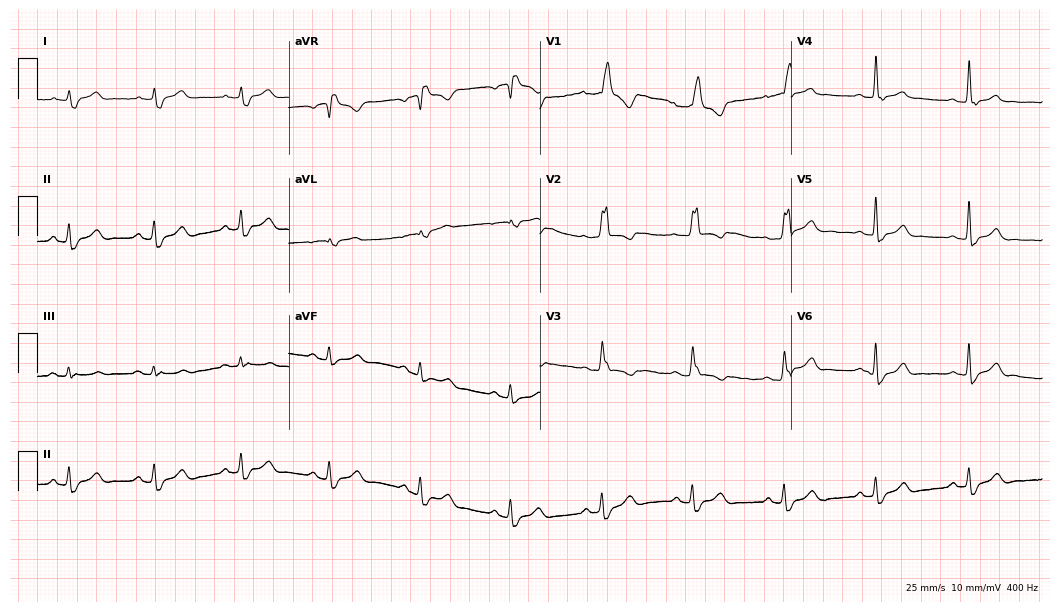
12-lead ECG from a 42-year-old male. Findings include right bundle branch block (RBBB).